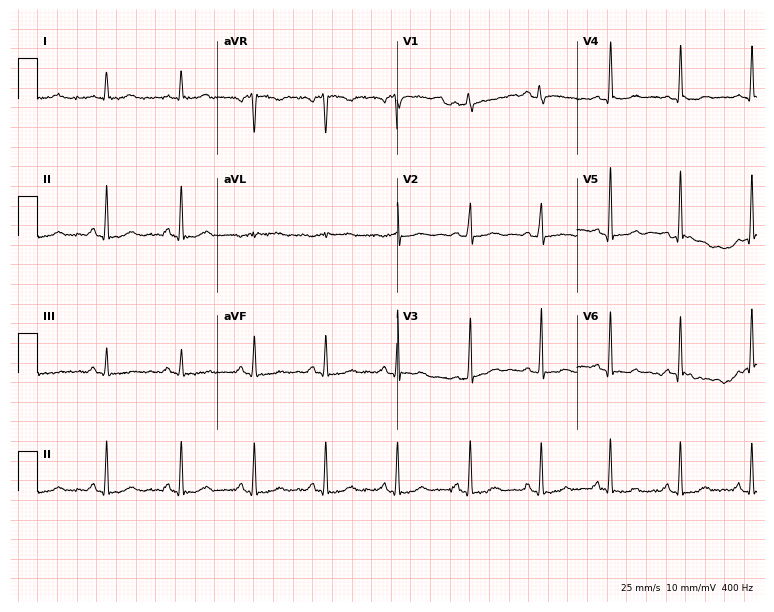
Standard 12-lead ECG recorded from a 42-year-old female patient. None of these six findings is recorded: first-degree AV block, right bundle branch block, left bundle branch block, sinus bradycardia, atrial fibrillation, sinus tachycardia. Other findings, if any, are not listed.